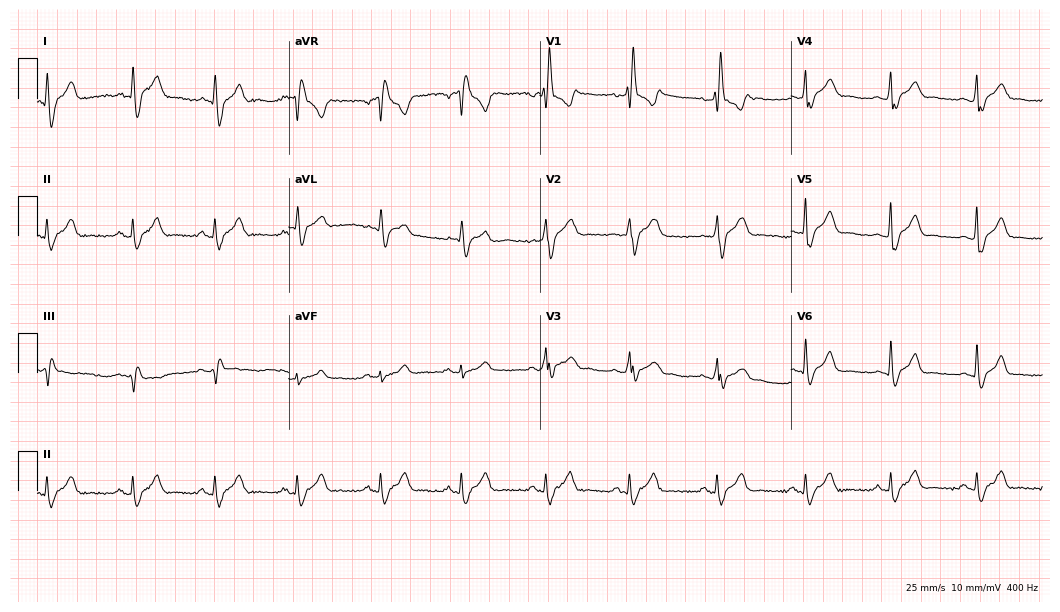
ECG (10.2-second recording at 400 Hz) — a 38-year-old male. Findings include right bundle branch block.